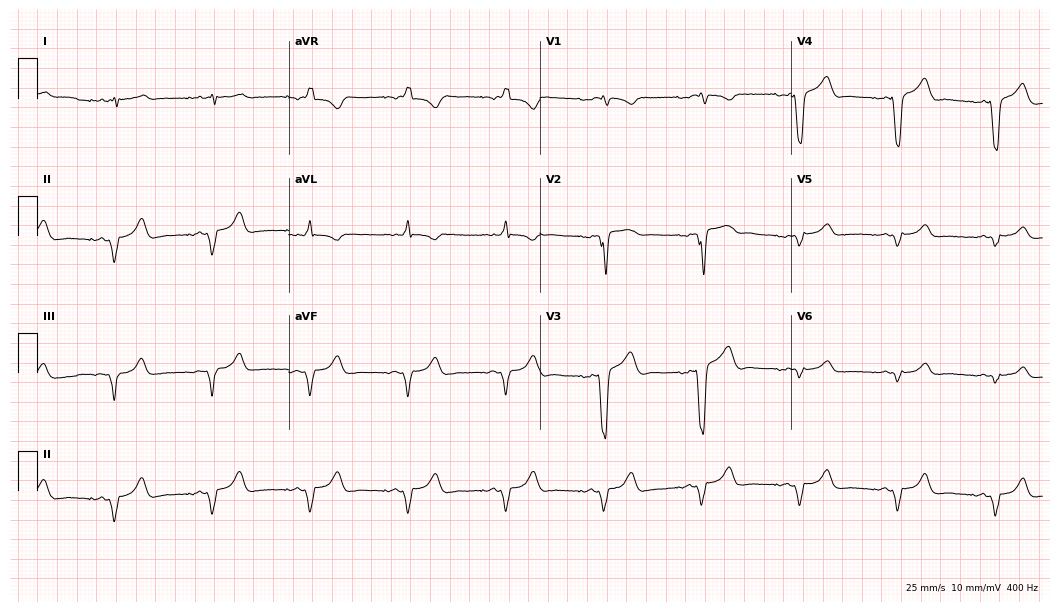
Electrocardiogram (10.2-second recording at 400 Hz), a 66-year-old woman. Of the six screened findings (first-degree AV block, right bundle branch block (RBBB), left bundle branch block (LBBB), sinus bradycardia, atrial fibrillation (AF), sinus tachycardia), none is recorded.